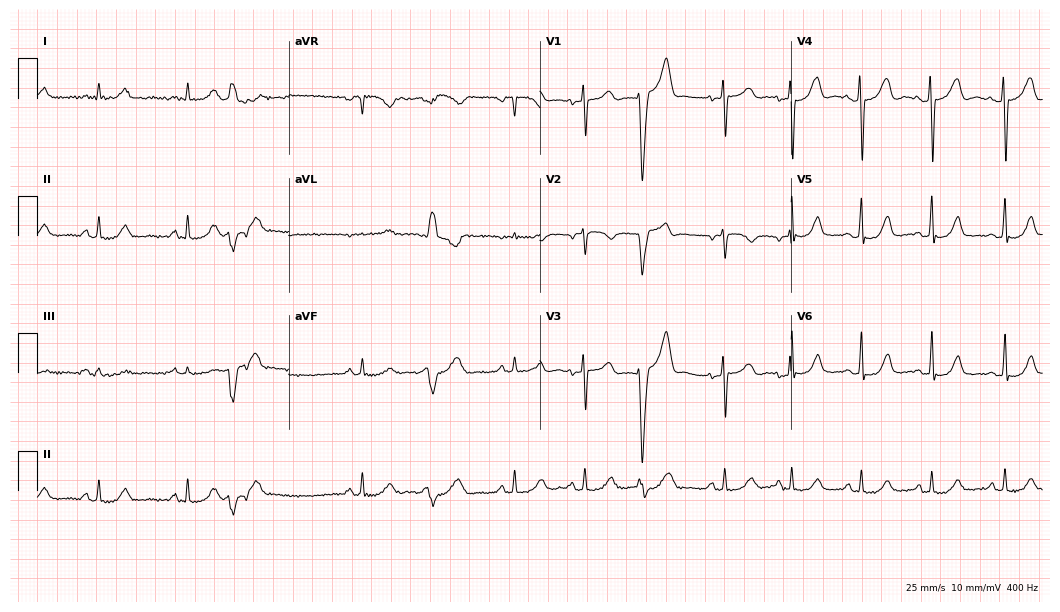
Electrocardiogram, a male patient, 60 years old. Of the six screened findings (first-degree AV block, right bundle branch block, left bundle branch block, sinus bradycardia, atrial fibrillation, sinus tachycardia), none is recorded.